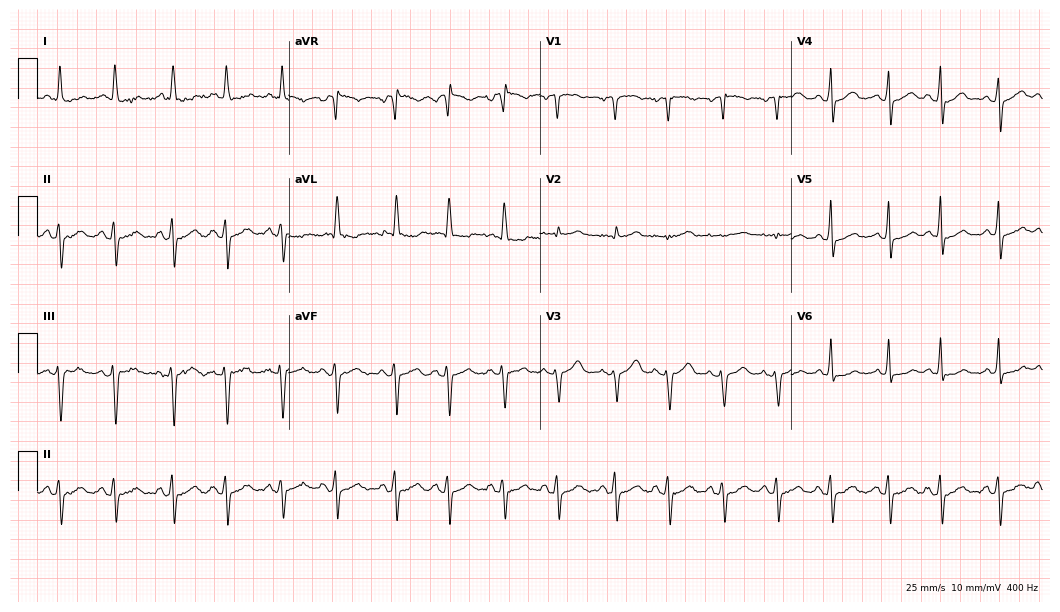
12-lead ECG from a 76-year-old female patient. Findings include sinus tachycardia (a sinus rate of 100 beats per minute or more).